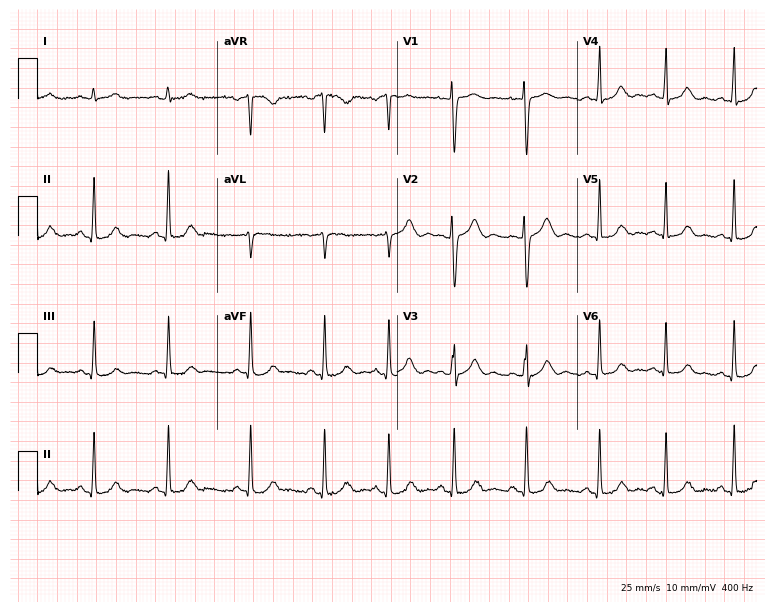
Resting 12-lead electrocardiogram (7.3-second recording at 400 Hz). Patient: a 20-year-old female. Read as a normal ECG.